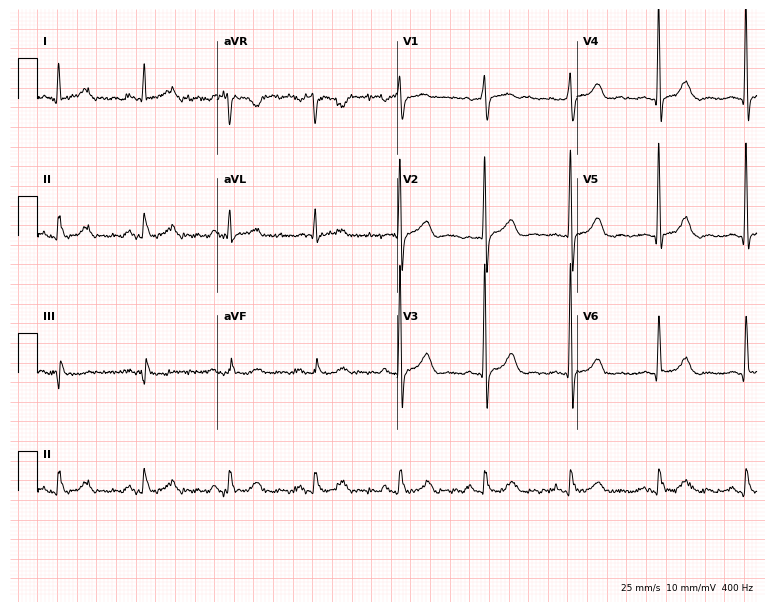
Resting 12-lead electrocardiogram (7.3-second recording at 400 Hz). Patient: an 83-year-old man. Read as a normal ECG.